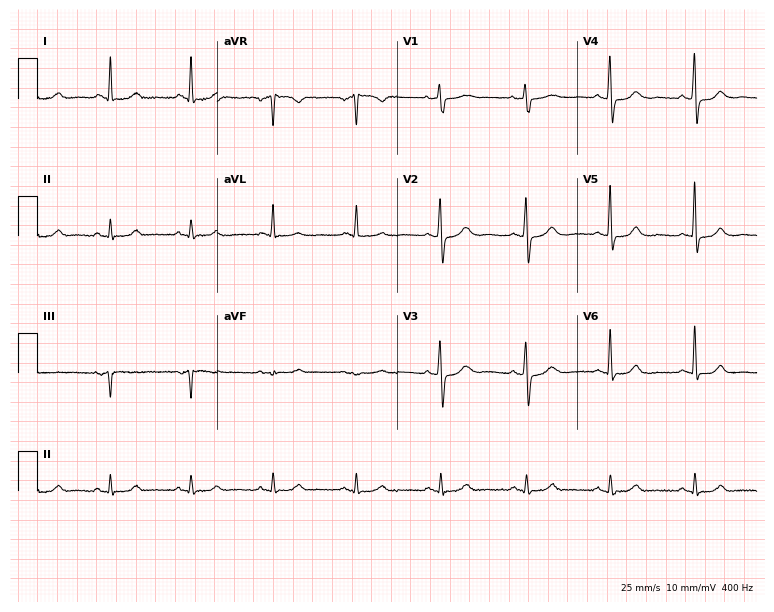
Resting 12-lead electrocardiogram. Patient: a female, 78 years old. None of these six findings is recorded: first-degree AV block, right bundle branch block, left bundle branch block, sinus bradycardia, atrial fibrillation, sinus tachycardia. Findings outside these six are not listed.